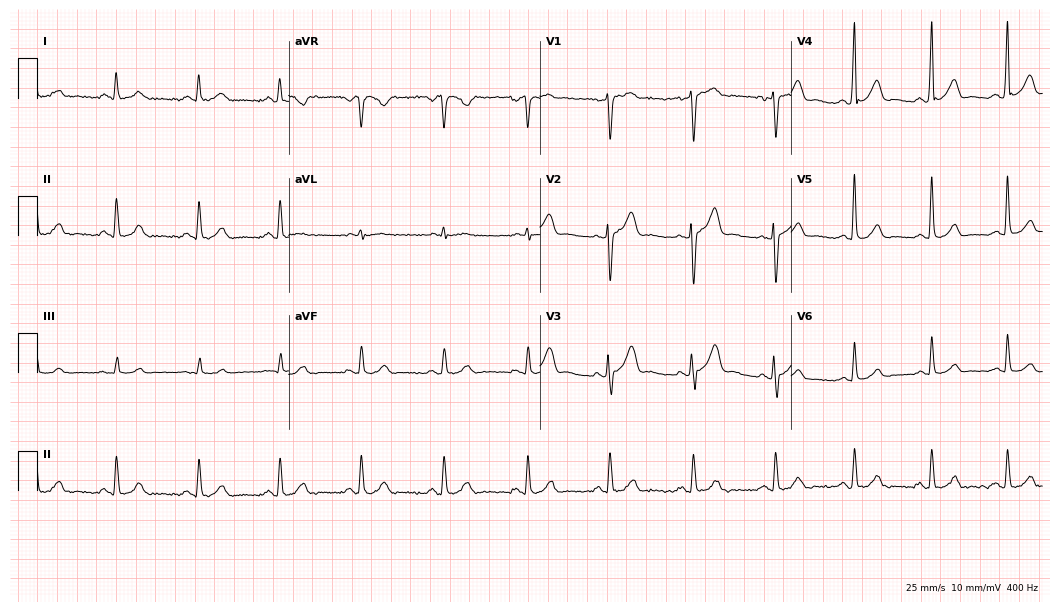
12-lead ECG from a male patient, 39 years old (10.2-second recording at 400 Hz). No first-degree AV block, right bundle branch block (RBBB), left bundle branch block (LBBB), sinus bradycardia, atrial fibrillation (AF) or sinus tachycardia recorded for this tracing.